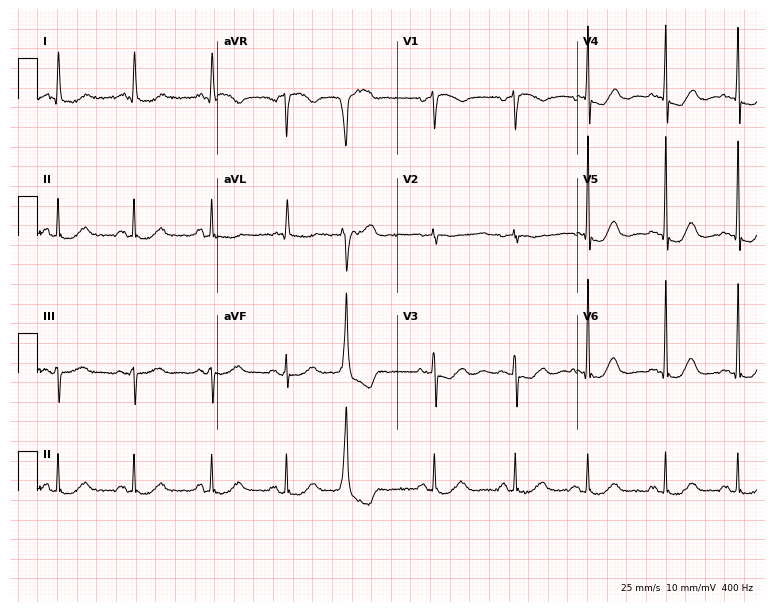
12-lead ECG from a 74-year-old female. Labelled as a normal ECG.